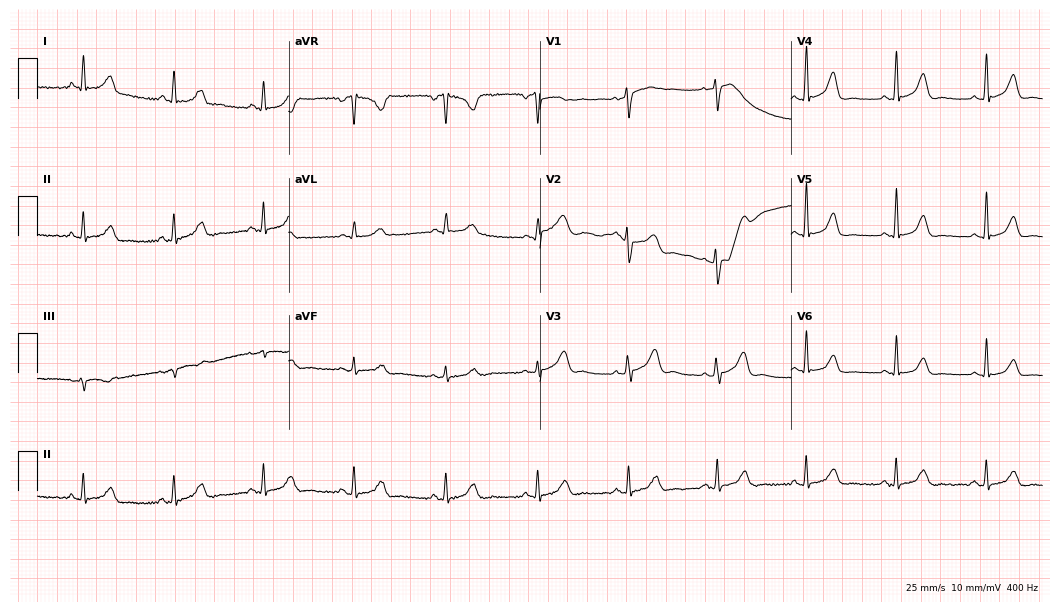
Electrocardiogram (10.2-second recording at 400 Hz), a female, 56 years old. Overall reading on record: normal ECG.